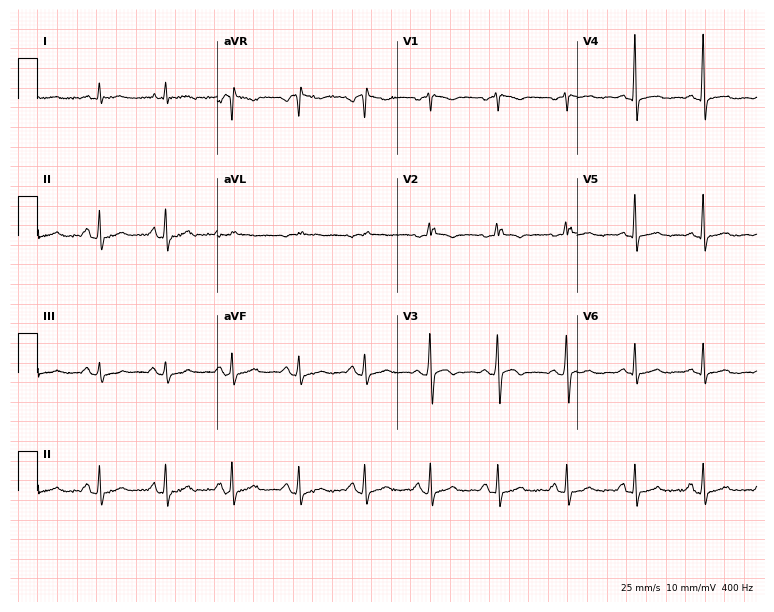
Electrocardiogram (7.3-second recording at 400 Hz), a 45-year-old female. Of the six screened findings (first-degree AV block, right bundle branch block, left bundle branch block, sinus bradycardia, atrial fibrillation, sinus tachycardia), none is recorded. Findings outside these six are not listed.